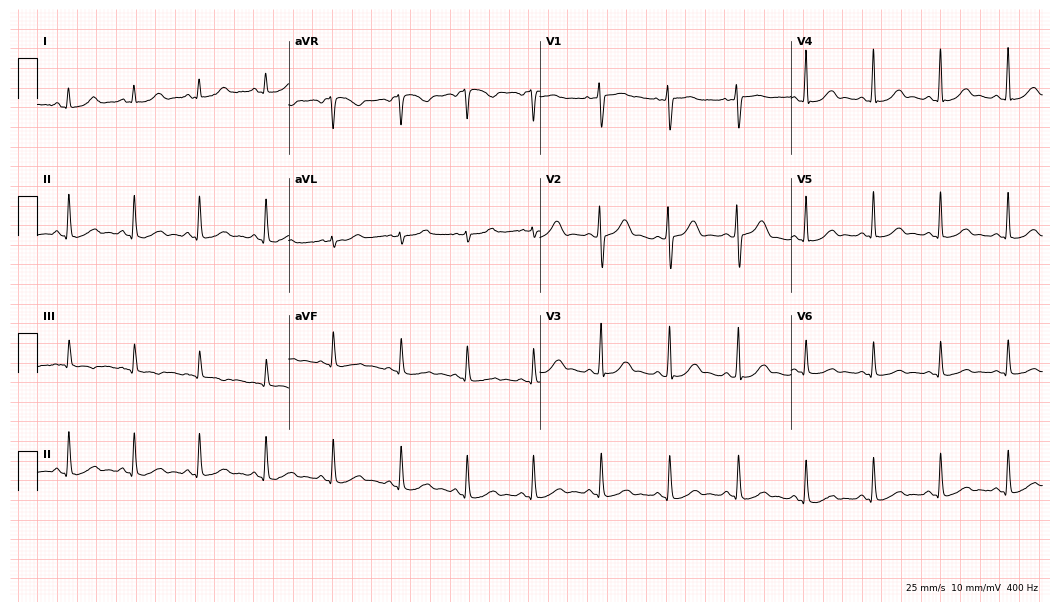
Electrocardiogram, a female patient, 41 years old. Overall reading on record: normal ECG.